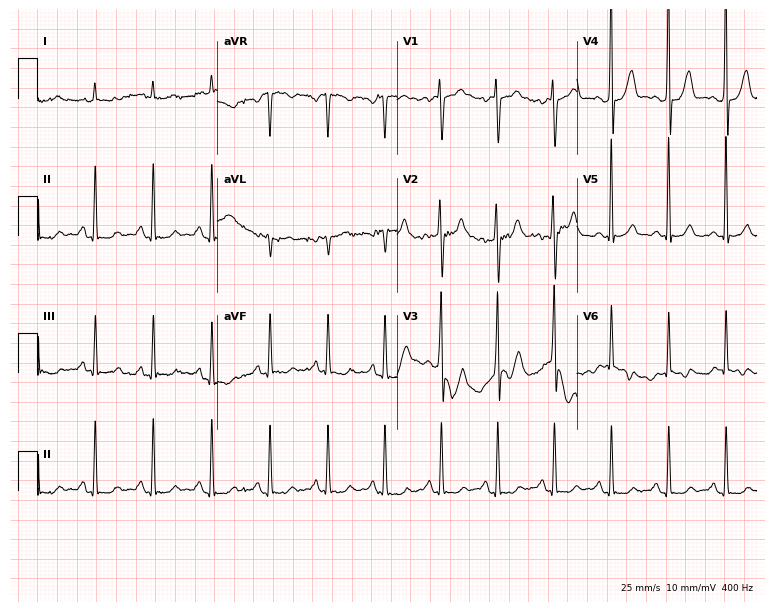
Resting 12-lead electrocardiogram (7.3-second recording at 400 Hz). Patient: a 40-year-old man. The tracing shows sinus tachycardia (a sinus rate of 100 beats per minute or more).